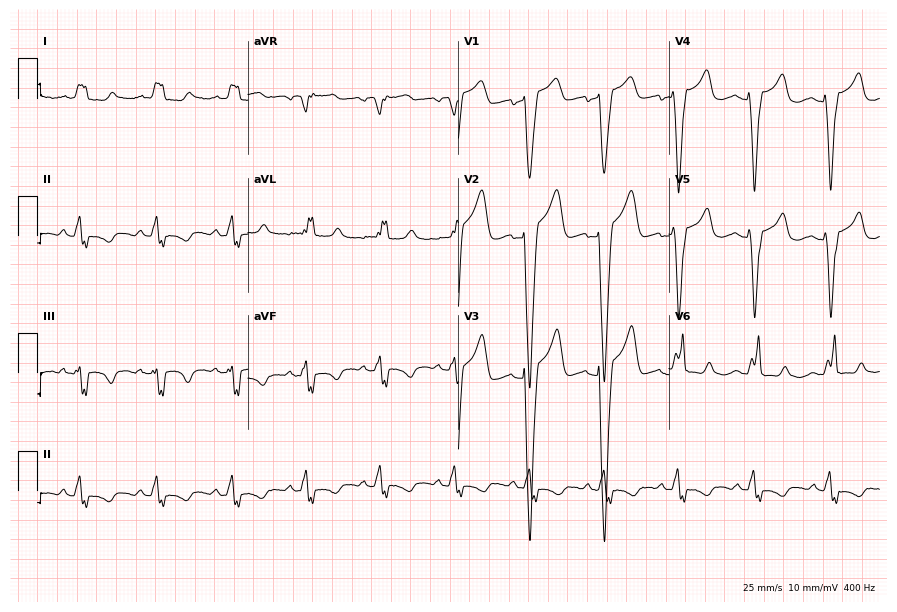
Electrocardiogram (8.6-second recording at 400 Hz), a 65-year-old female. Of the six screened findings (first-degree AV block, right bundle branch block, left bundle branch block, sinus bradycardia, atrial fibrillation, sinus tachycardia), none is recorded.